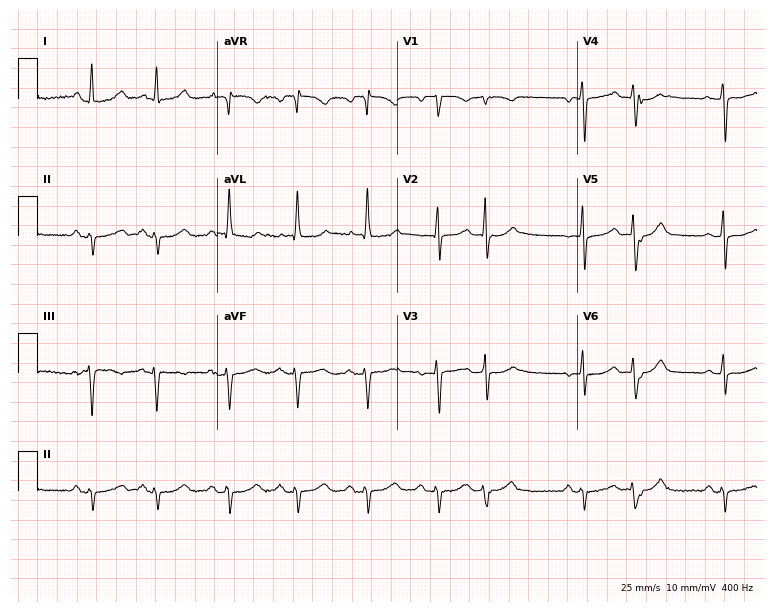
Resting 12-lead electrocardiogram (7.3-second recording at 400 Hz). Patient: a woman, 63 years old. None of these six findings is recorded: first-degree AV block, right bundle branch block, left bundle branch block, sinus bradycardia, atrial fibrillation, sinus tachycardia.